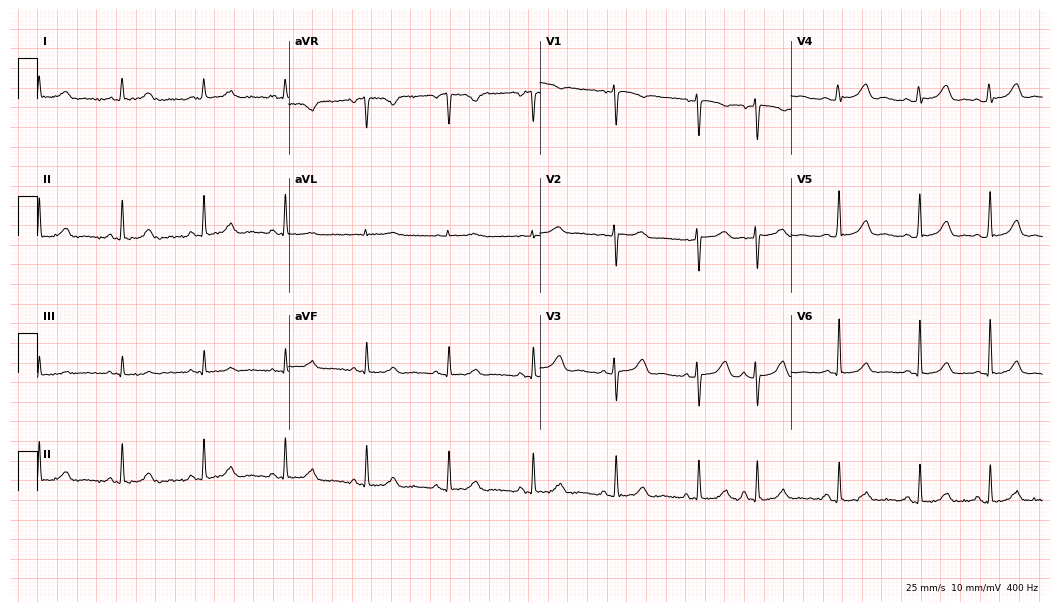
Standard 12-lead ECG recorded from a female patient, 68 years old. Read as a normal ECG.